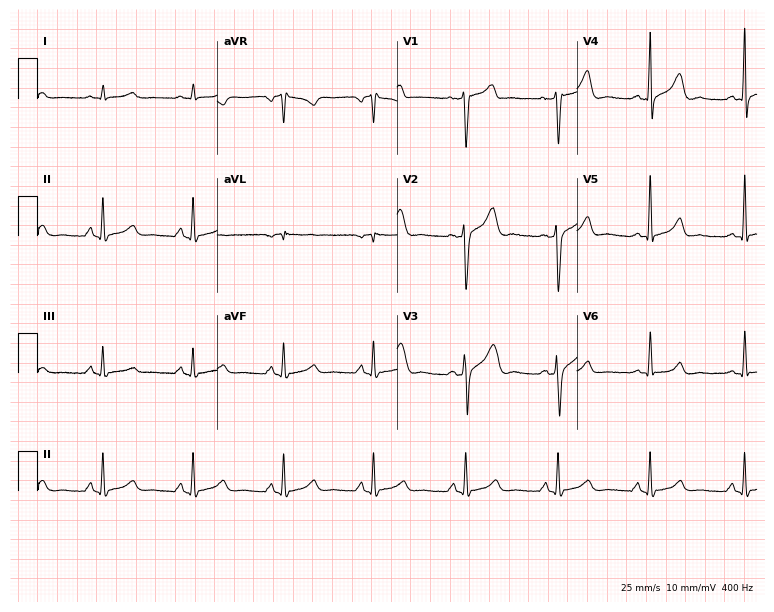
Standard 12-lead ECG recorded from a 63-year-old male patient. Read as a normal ECG.